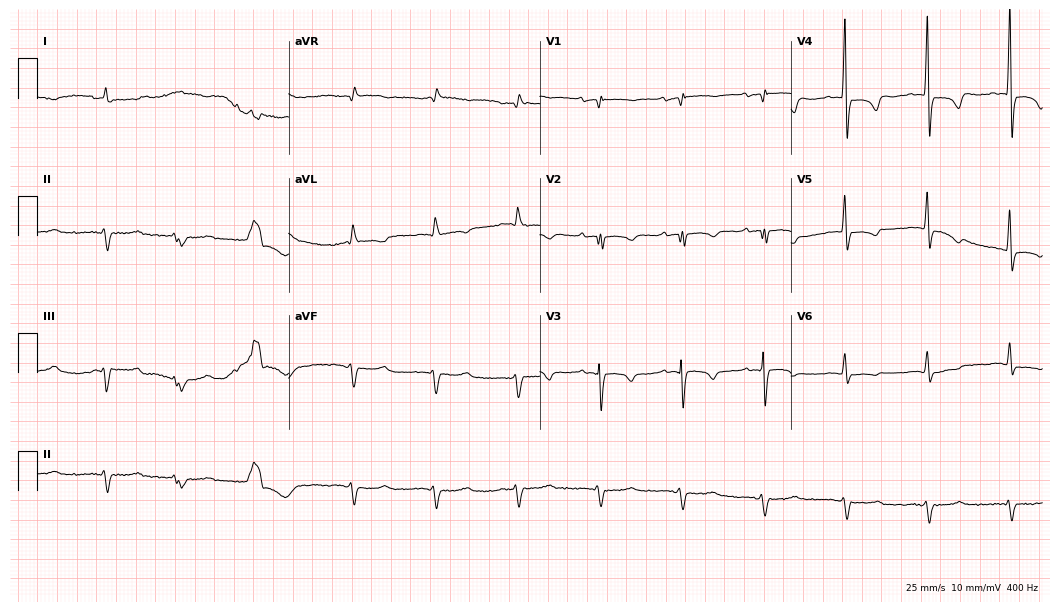
12-lead ECG from an 82-year-old woman. No first-degree AV block, right bundle branch block, left bundle branch block, sinus bradycardia, atrial fibrillation or sinus tachycardia recorded for this tracing.